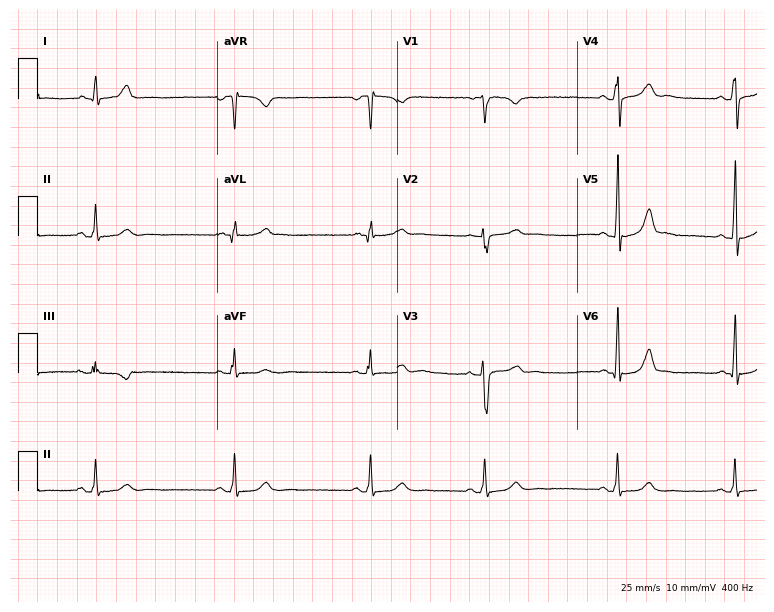
Electrocardiogram, a 17-year-old woman. Of the six screened findings (first-degree AV block, right bundle branch block, left bundle branch block, sinus bradycardia, atrial fibrillation, sinus tachycardia), none is recorded. Findings outside these six are not listed.